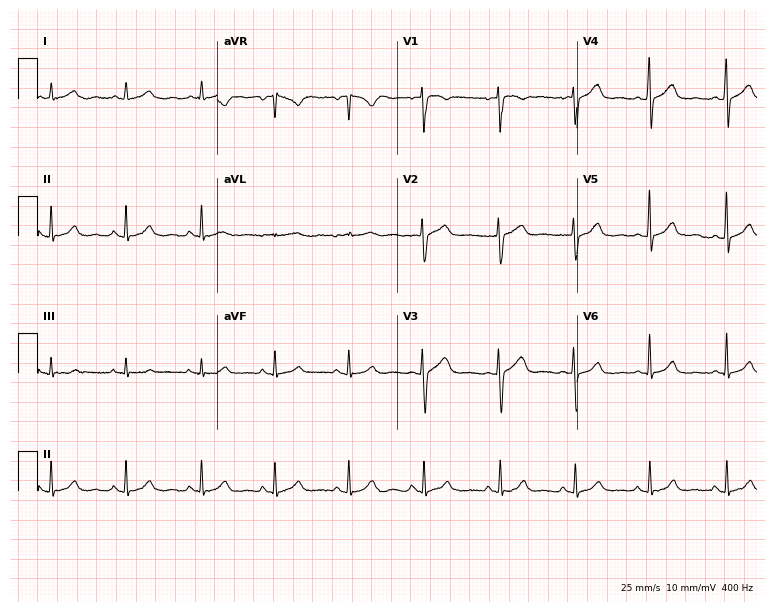
ECG — a female patient, 43 years old. Labelled as a normal ECG.